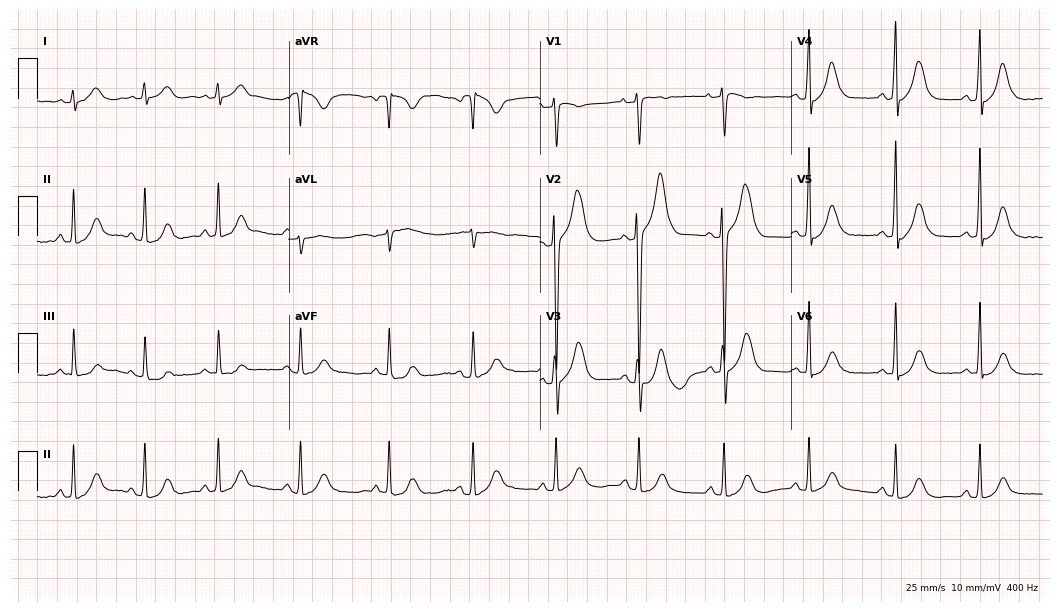
12-lead ECG from a male patient, 24 years old. Labelled as a normal ECG.